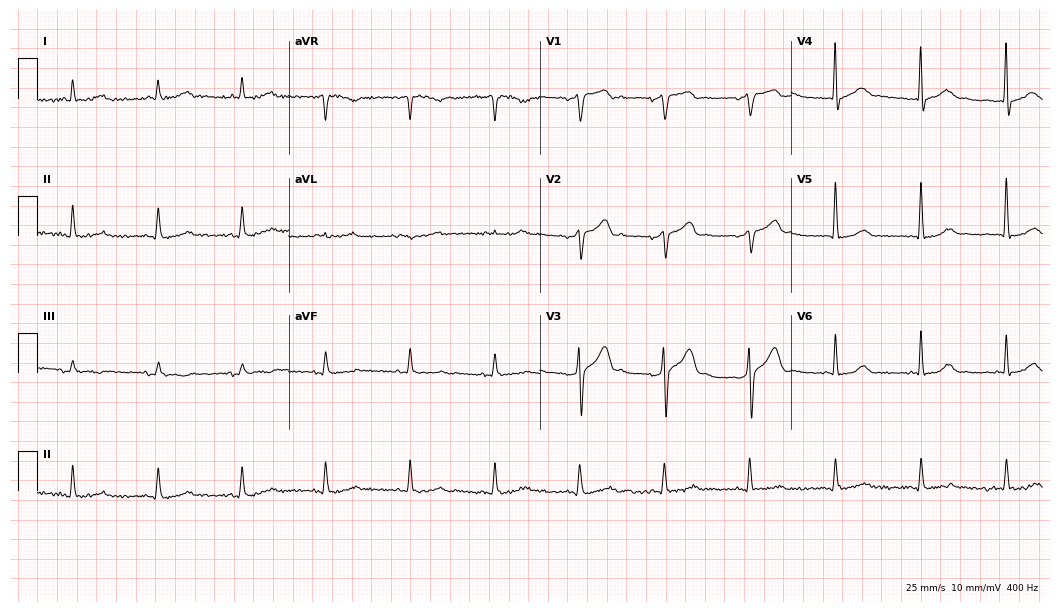
Resting 12-lead electrocardiogram. Patient: a 63-year-old man. Read as a normal ECG.